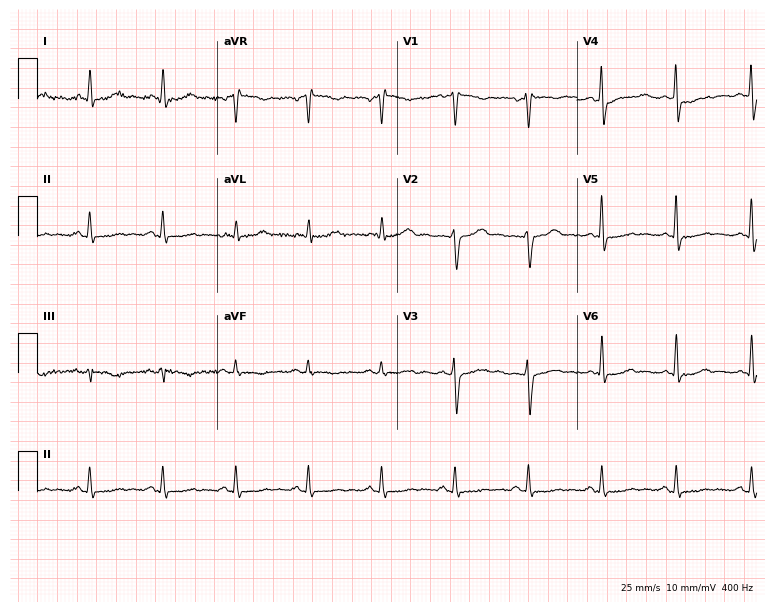
12-lead ECG (7.3-second recording at 400 Hz) from a man, 18 years old. Labelled as a normal ECG.